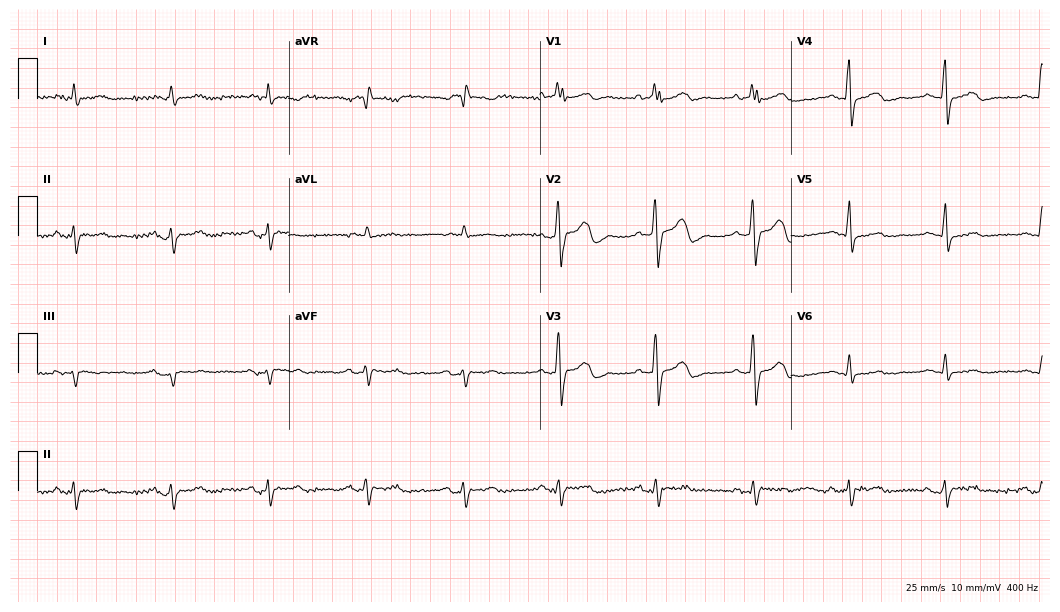
12-lead ECG from a 77-year-old male (10.2-second recording at 400 Hz). Shows right bundle branch block.